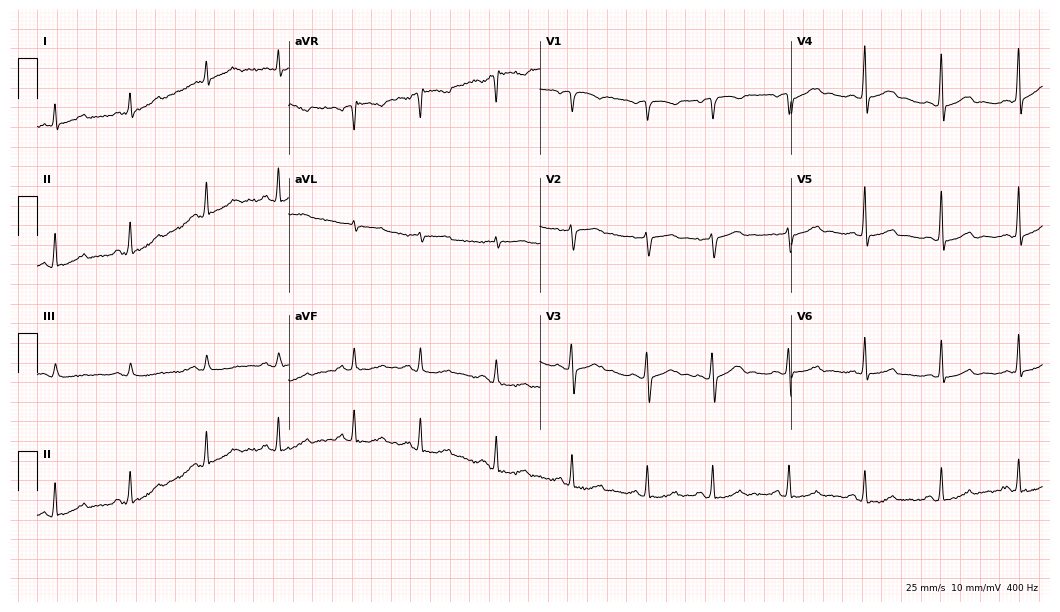
Electrocardiogram, a male patient, 63 years old. Overall reading on record: normal ECG.